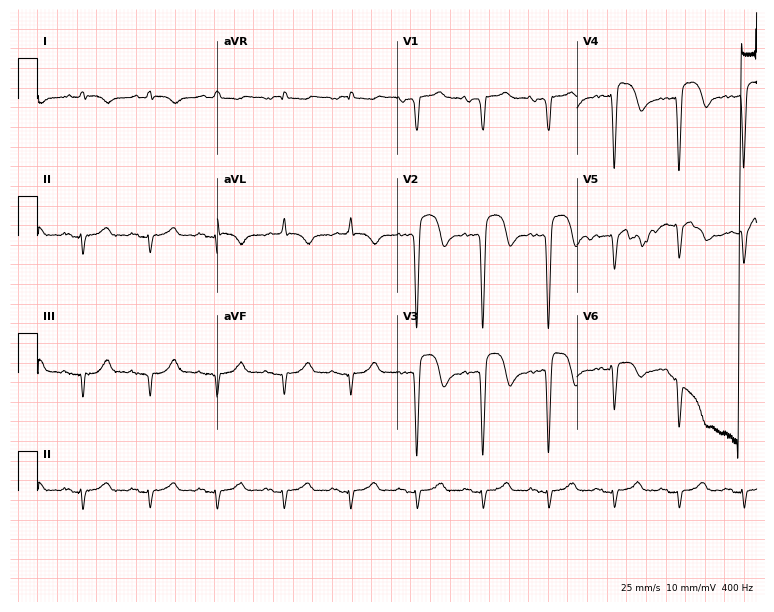
12-lead ECG from a man, 74 years old. No first-degree AV block, right bundle branch block, left bundle branch block, sinus bradycardia, atrial fibrillation or sinus tachycardia recorded for this tracing.